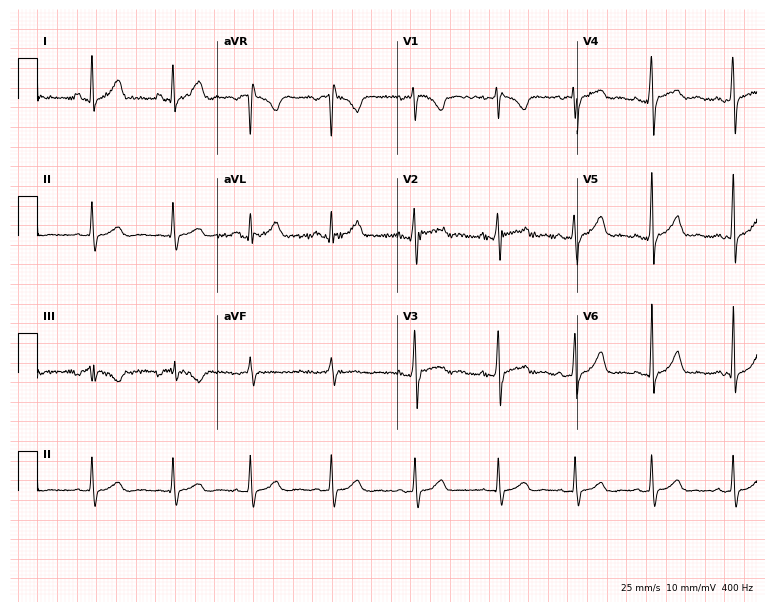
Resting 12-lead electrocardiogram (7.3-second recording at 400 Hz). Patient: a 22-year-old female. None of these six findings is recorded: first-degree AV block, right bundle branch block, left bundle branch block, sinus bradycardia, atrial fibrillation, sinus tachycardia. Findings outside these six are not listed.